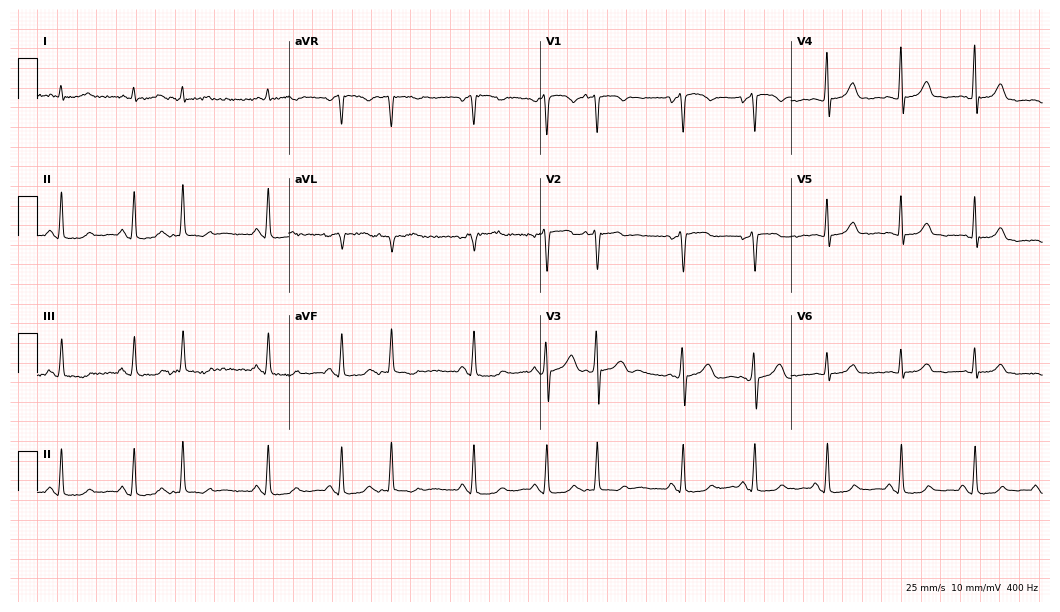
Resting 12-lead electrocardiogram. Patient: a woman, 68 years old. None of these six findings is recorded: first-degree AV block, right bundle branch block, left bundle branch block, sinus bradycardia, atrial fibrillation, sinus tachycardia. Other findings, if any, are not listed.